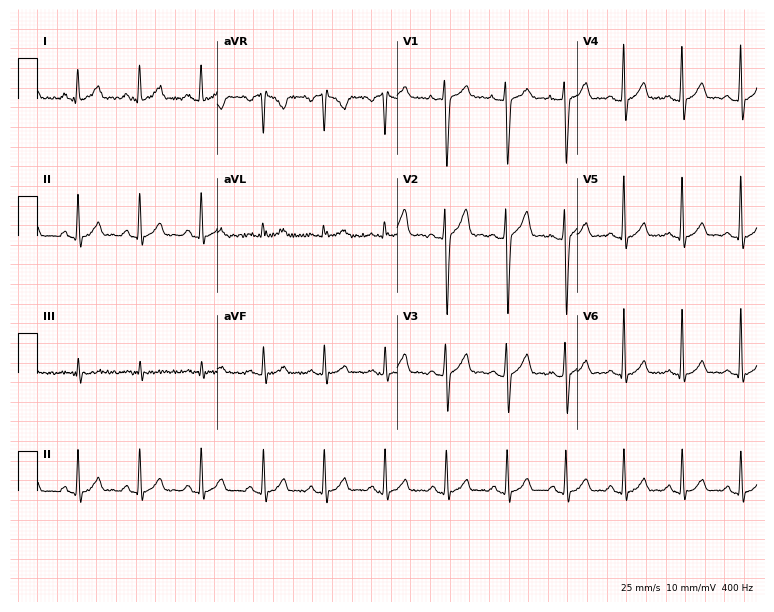
Standard 12-lead ECG recorded from a male patient, 25 years old. Read as a normal ECG.